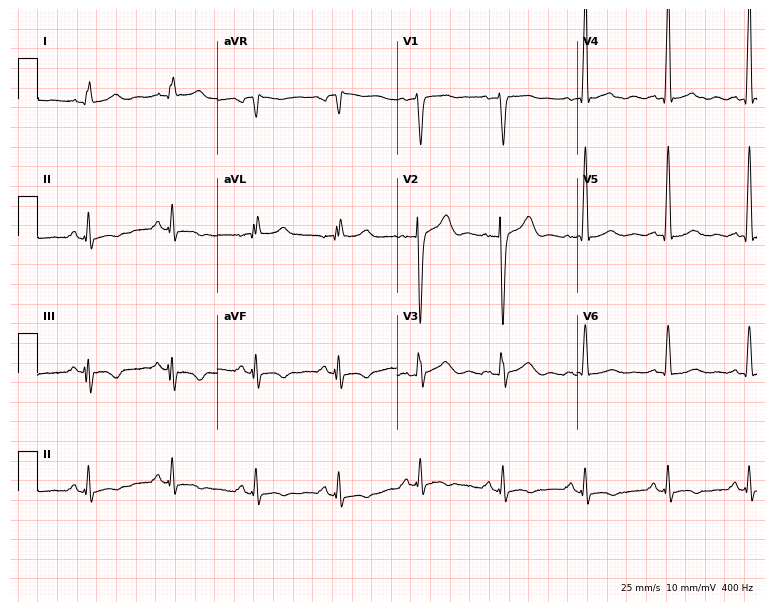
Resting 12-lead electrocardiogram. Patient: a 46-year-old male. None of these six findings is recorded: first-degree AV block, right bundle branch block (RBBB), left bundle branch block (LBBB), sinus bradycardia, atrial fibrillation (AF), sinus tachycardia.